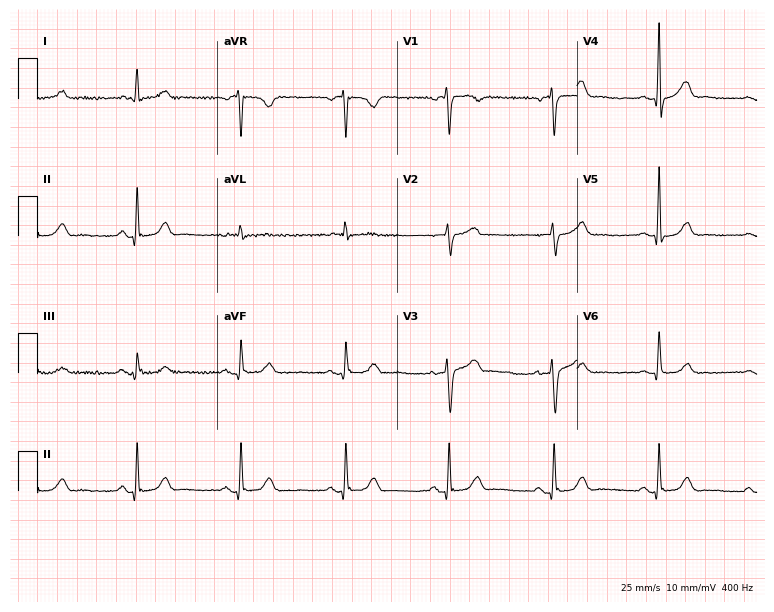
Electrocardiogram, a 50-year-old man. Overall reading on record: normal ECG.